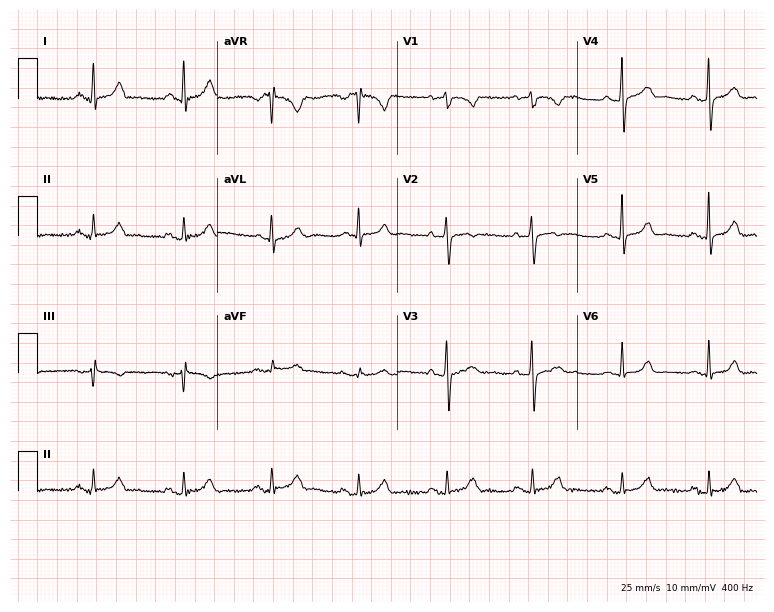
Standard 12-lead ECG recorded from a 51-year-old female. None of these six findings is recorded: first-degree AV block, right bundle branch block, left bundle branch block, sinus bradycardia, atrial fibrillation, sinus tachycardia.